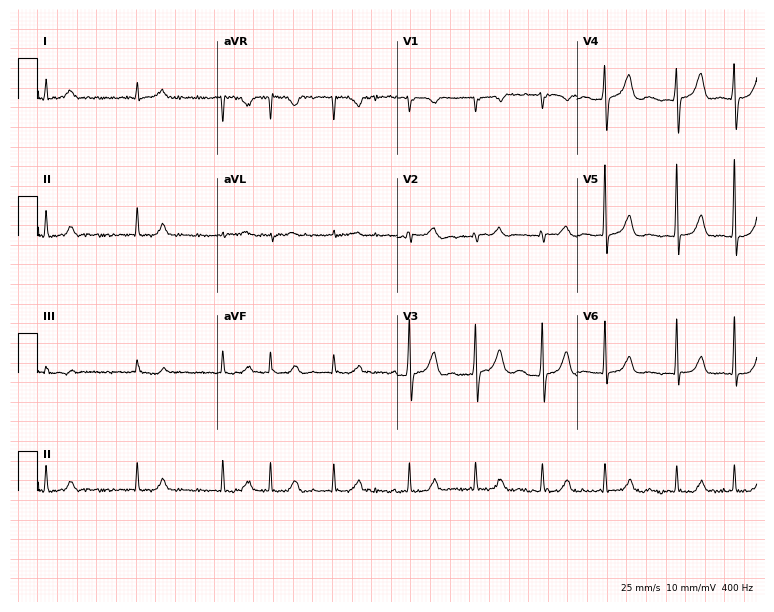
Electrocardiogram (7.3-second recording at 400 Hz), an 81-year-old male. Of the six screened findings (first-degree AV block, right bundle branch block, left bundle branch block, sinus bradycardia, atrial fibrillation, sinus tachycardia), none is recorded.